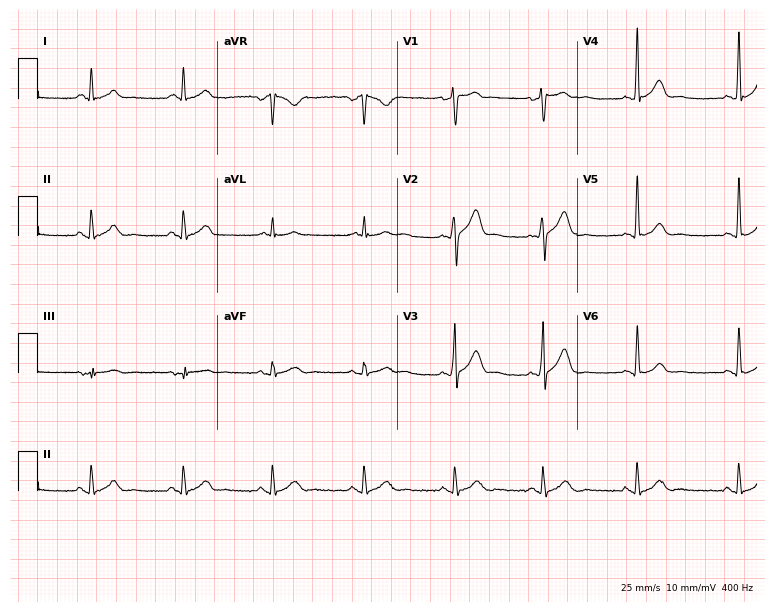
Resting 12-lead electrocardiogram. Patient: a male, 40 years old. Read as a normal ECG.